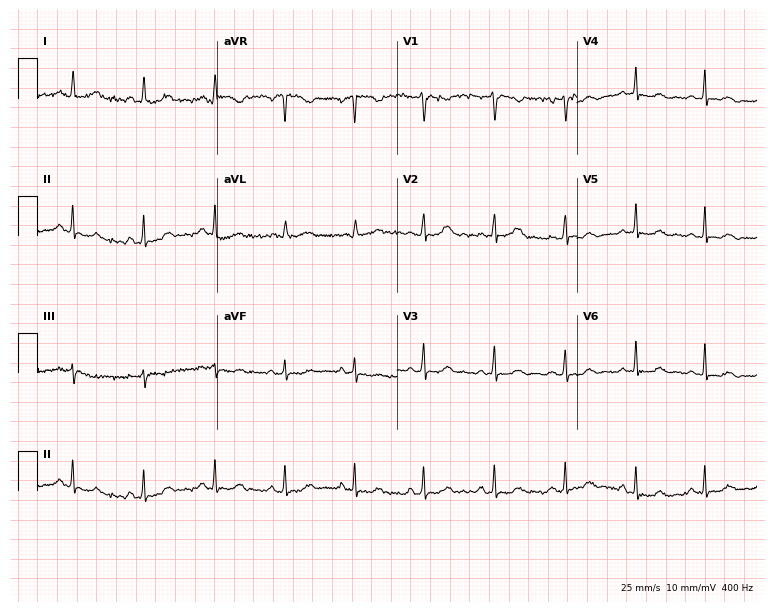
12-lead ECG (7.3-second recording at 400 Hz) from a woman, 39 years old. Labelled as a normal ECG.